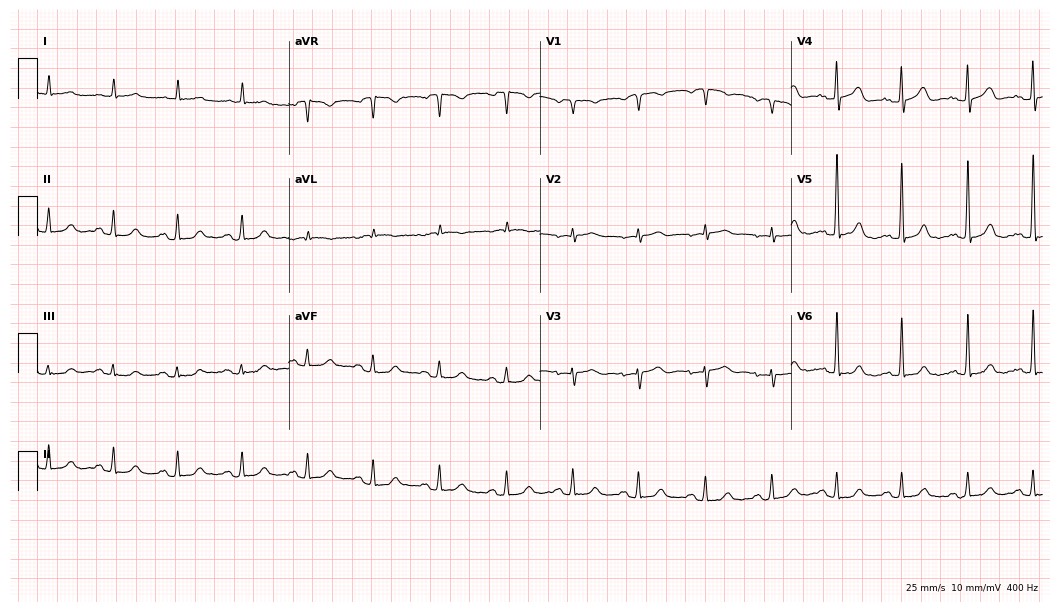
12-lead ECG from a female patient, 77 years old. Recorded interpretation: within normal limits.